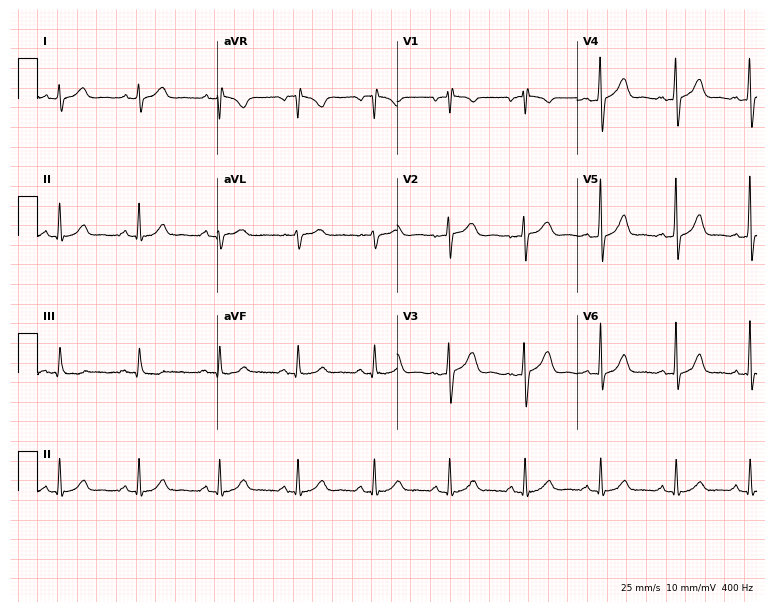
Resting 12-lead electrocardiogram (7.3-second recording at 400 Hz). Patient: a male, 51 years old. Read as a normal ECG.